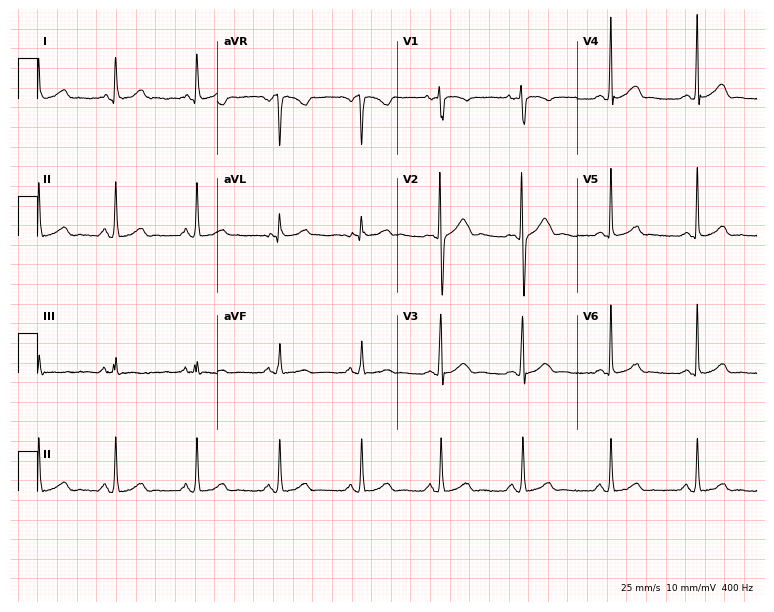
12-lead ECG from a 24-year-old male. No first-degree AV block, right bundle branch block, left bundle branch block, sinus bradycardia, atrial fibrillation or sinus tachycardia recorded for this tracing. Other findings, if any, are not listed.